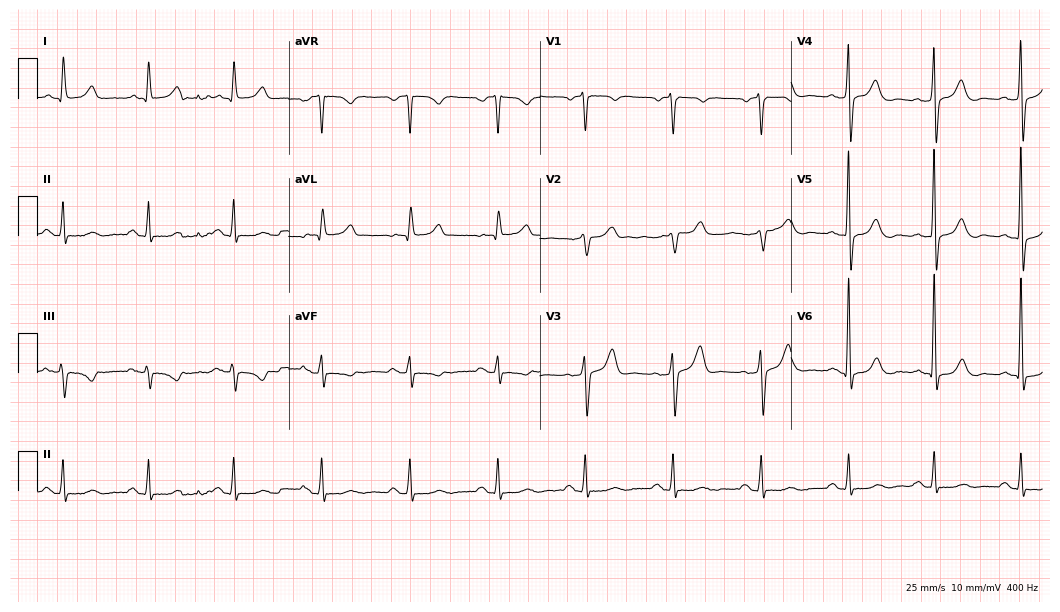
12-lead ECG from a man, 68 years old. No first-degree AV block, right bundle branch block (RBBB), left bundle branch block (LBBB), sinus bradycardia, atrial fibrillation (AF) or sinus tachycardia recorded for this tracing. Only these six findings were labelled.